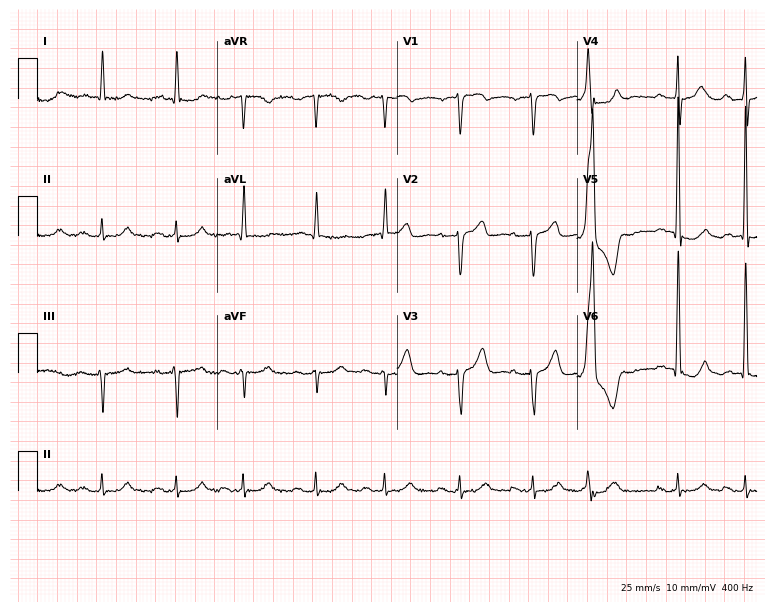
Standard 12-lead ECG recorded from a man, 79 years old (7.3-second recording at 400 Hz). None of these six findings is recorded: first-degree AV block, right bundle branch block, left bundle branch block, sinus bradycardia, atrial fibrillation, sinus tachycardia.